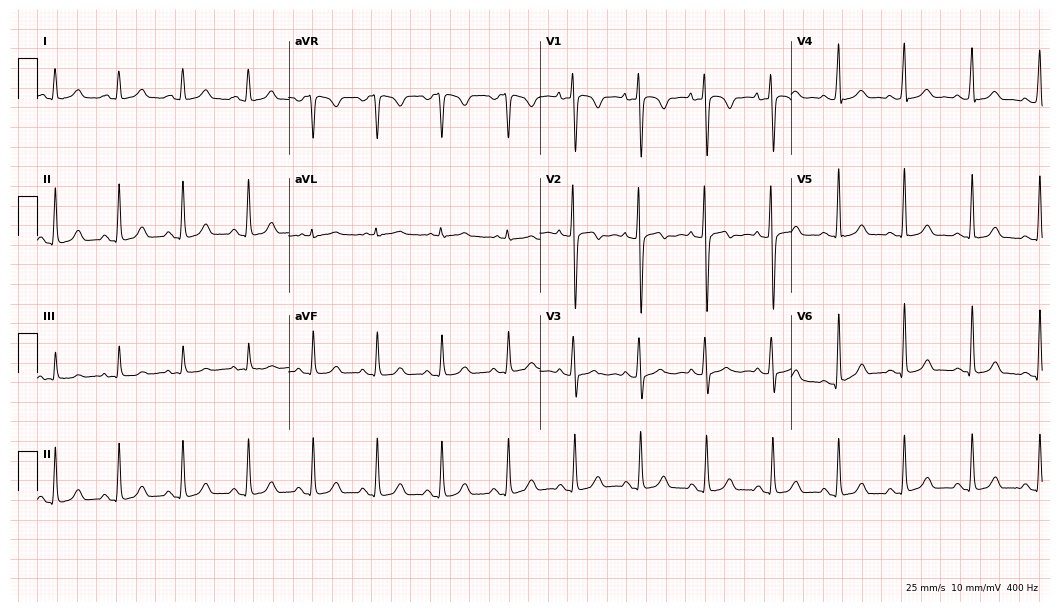
12-lead ECG from a female, 35 years old. Recorded interpretation: within normal limits.